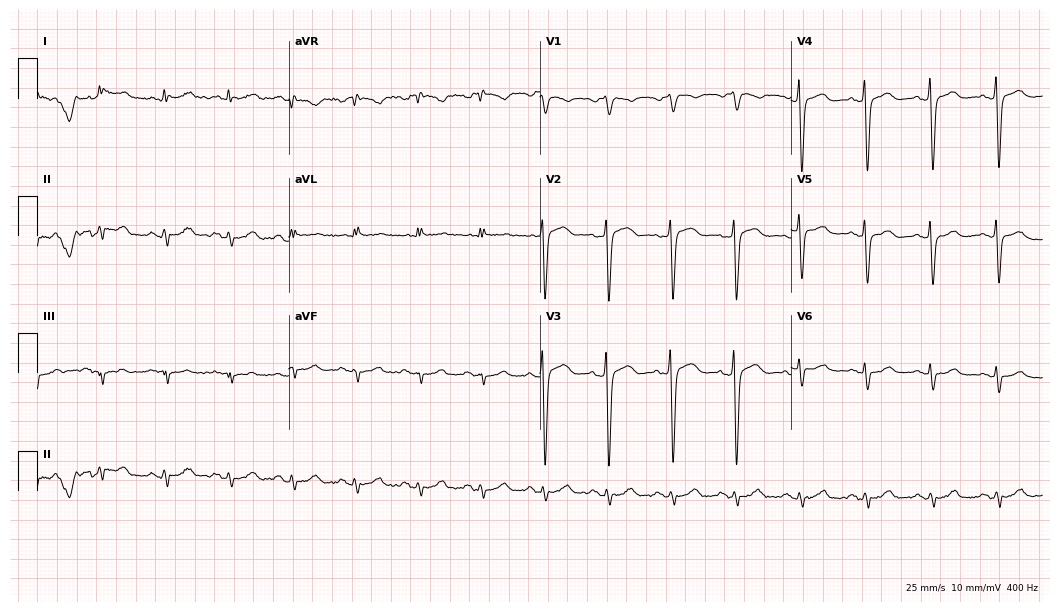
Standard 12-lead ECG recorded from a male, 62 years old (10.2-second recording at 400 Hz). None of these six findings is recorded: first-degree AV block, right bundle branch block, left bundle branch block, sinus bradycardia, atrial fibrillation, sinus tachycardia. Only these six findings were labelled.